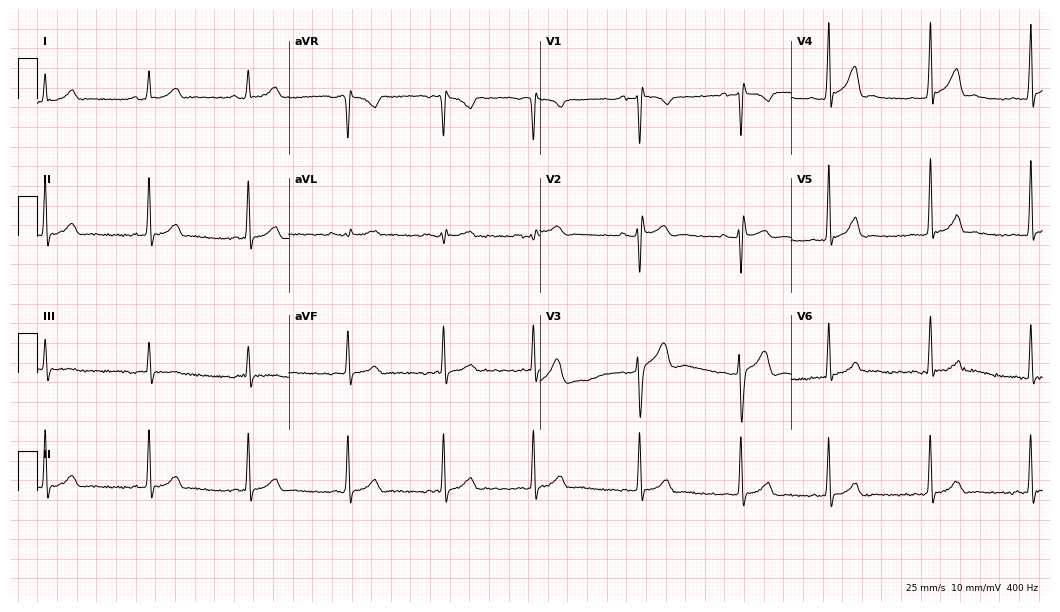
12-lead ECG from an 18-year-old male (10.2-second recording at 400 Hz). No first-degree AV block, right bundle branch block, left bundle branch block, sinus bradycardia, atrial fibrillation or sinus tachycardia recorded for this tracing. Findings outside these six are not listed.